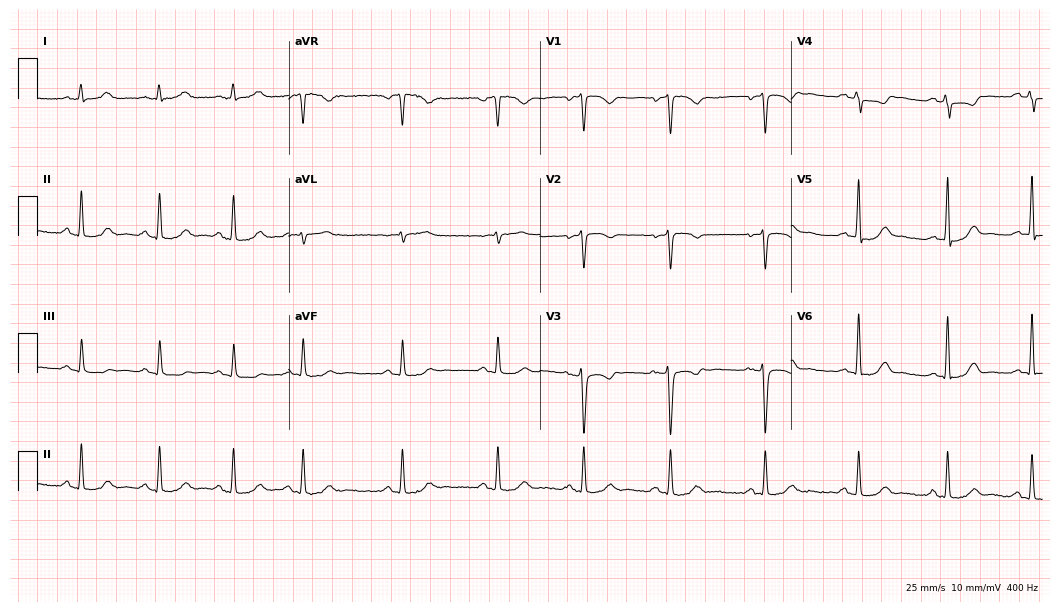
Standard 12-lead ECG recorded from a 29-year-old female patient (10.2-second recording at 400 Hz). None of these six findings is recorded: first-degree AV block, right bundle branch block (RBBB), left bundle branch block (LBBB), sinus bradycardia, atrial fibrillation (AF), sinus tachycardia. Other findings, if any, are not listed.